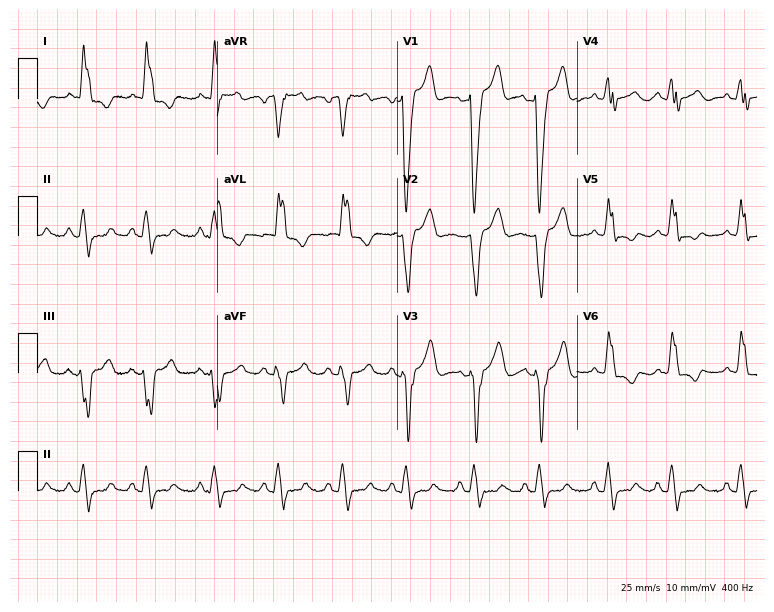
Resting 12-lead electrocardiogram. Patient: a female, 52 years old. The tracing shows left bundle branch block.